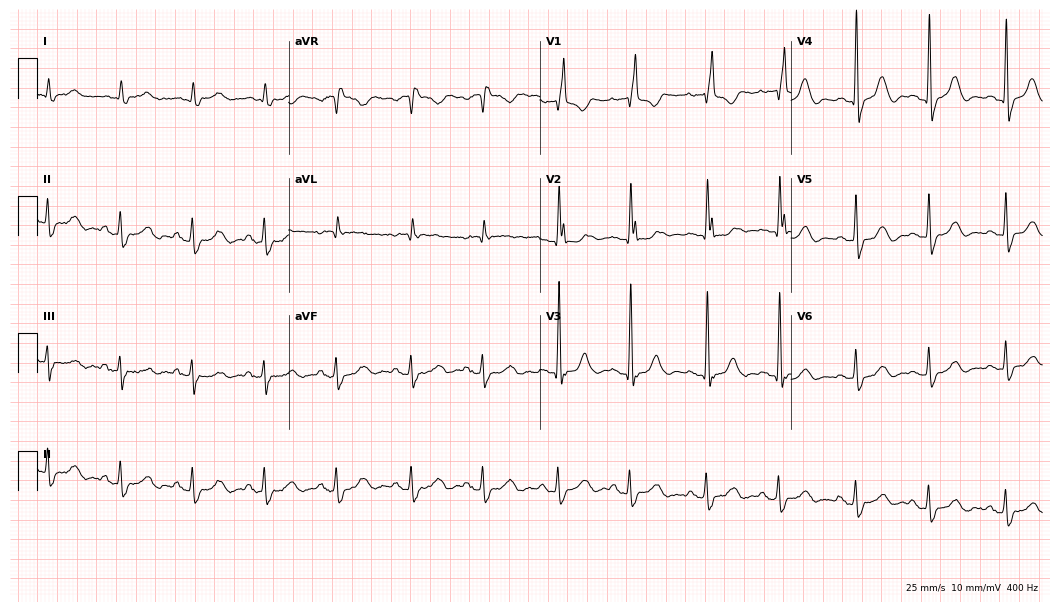
Standard 12-lead ECG recorded from a 76-year-old female. None of these six findings is recorded: first-degree AV block, right bundle branch block, left bundle branch block, sinus bradycardia, atrial fibrillation, sinus tachycardia.